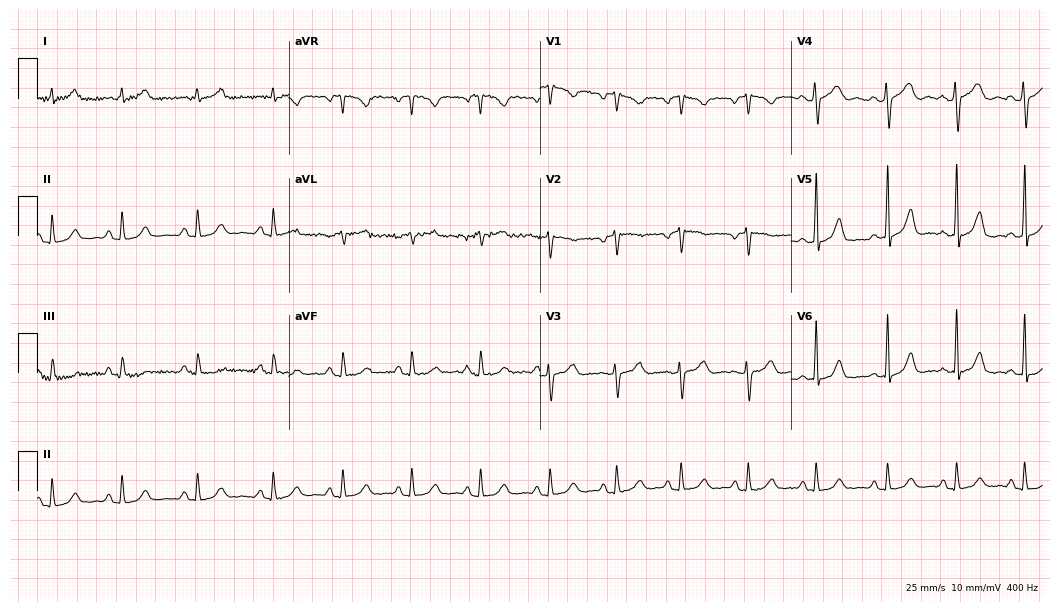
Standard 12-lead ECG recorded from a 38-year-old female patient (10.2-second recording at 400 Hz). Read as a normal ECG.